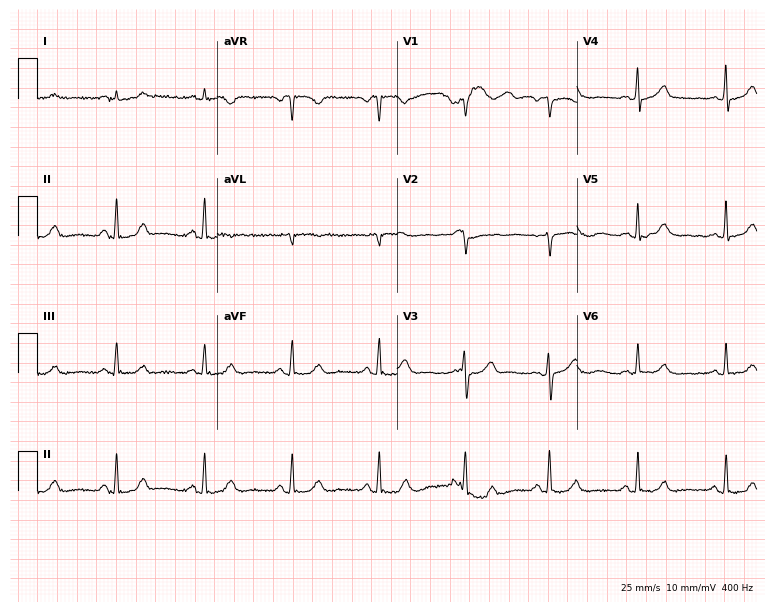
12-lead ECG (7.3-second recording at 400 Hz) from a 49-year-old woman. Labelled as a normal ECG.